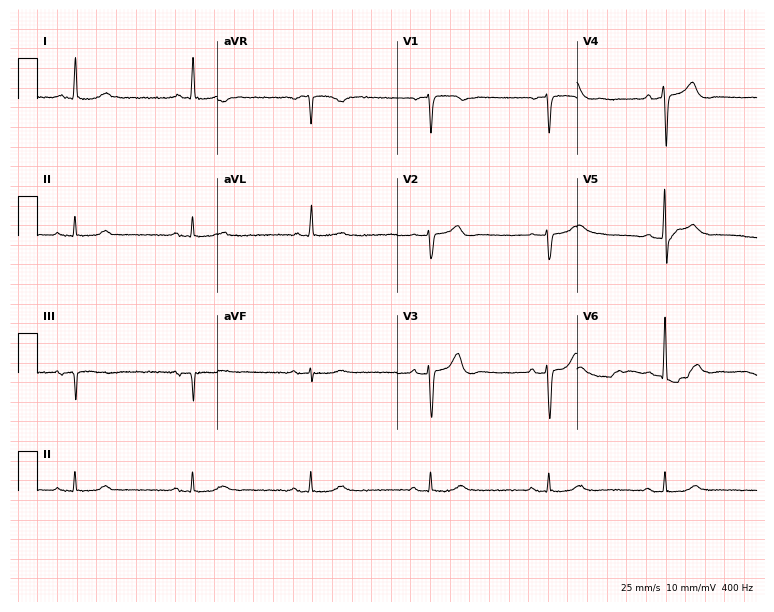
ECG — an 82-year-old female patient. Labelled as a normal ECG.